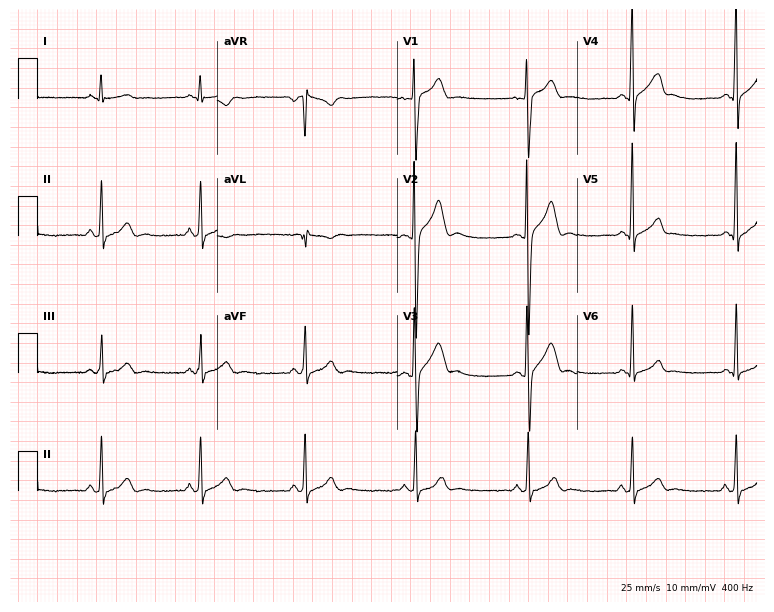
12-lead ECG from a male, 17 years old. Screened for six findings — first-degree AV block, right bundle branch block, left bundle branch block, sinus bradycardia, atrial fibrillation, sinus tachycardia — none is recorded.